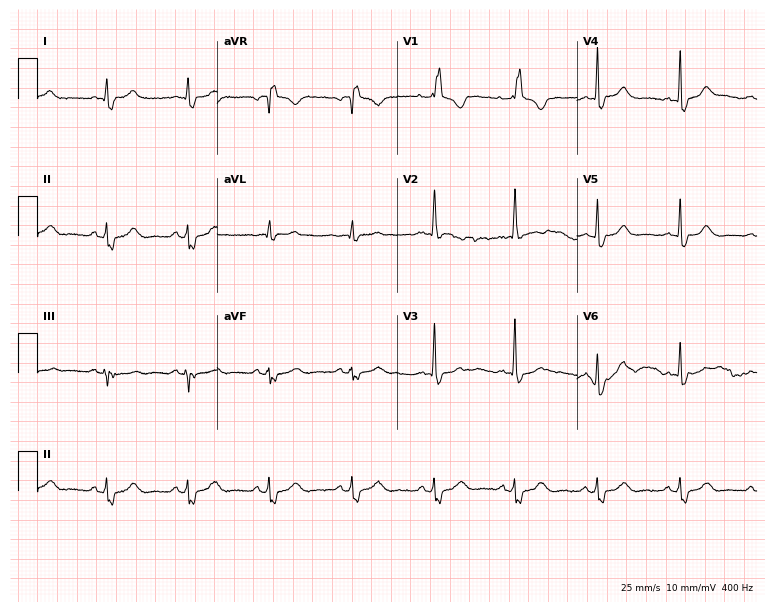
Standard 12-lead ECG recorded from a female patient, 36 years old. The tracing shows right bundle branch block.